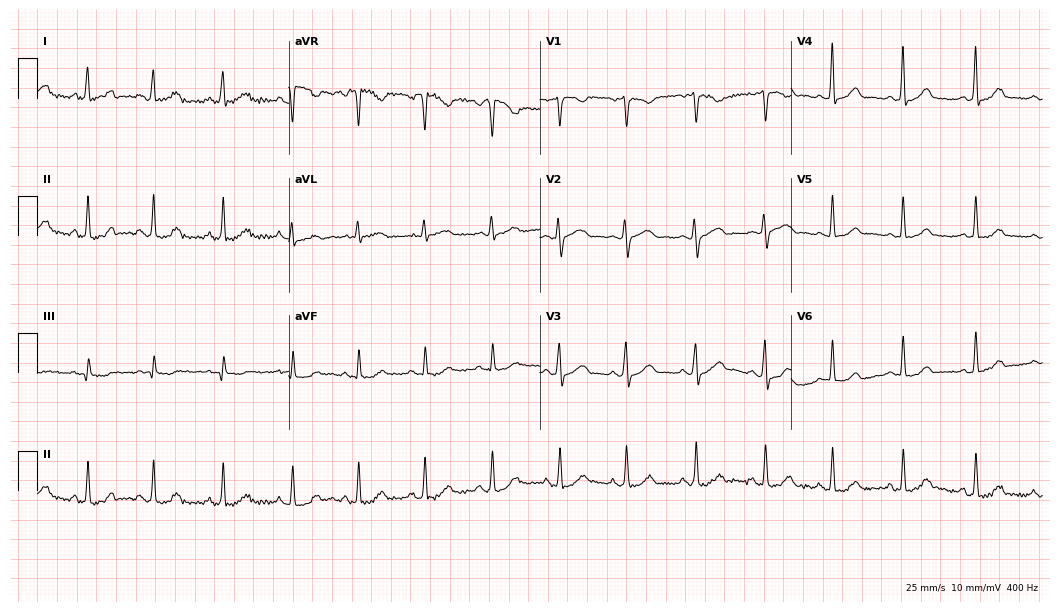
Standard 12-lead ECG recorded from a 41-year-old woman (10.2-second recording at 400 Hz). Read as a normal ECG.